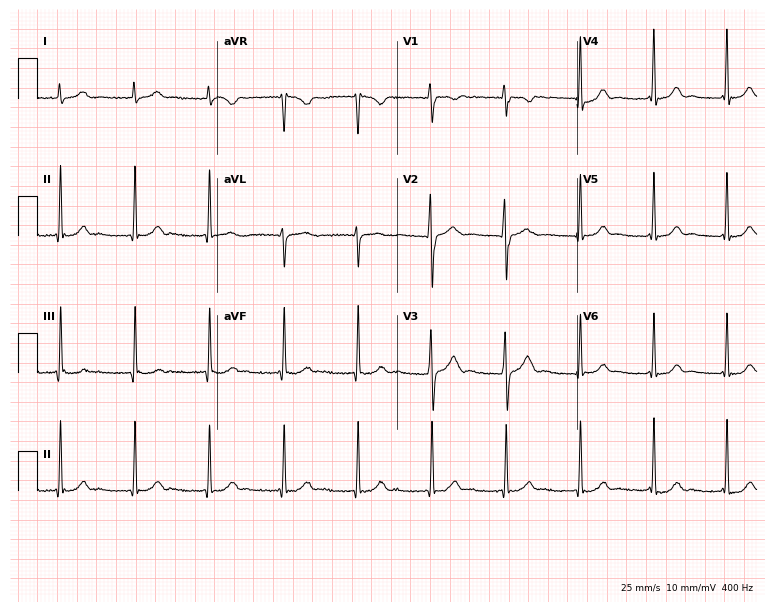
12-lead ECG (7.3-second recording at 400 Hz) from a female patient, 20 years old. Screened for six findings — first-degree AV block, right bundle branch block, left bundle branch block, sinus bradycardia, atrial fibrillation, sinus tachycardia — none is recorded. Other findings, if any, are not listed.